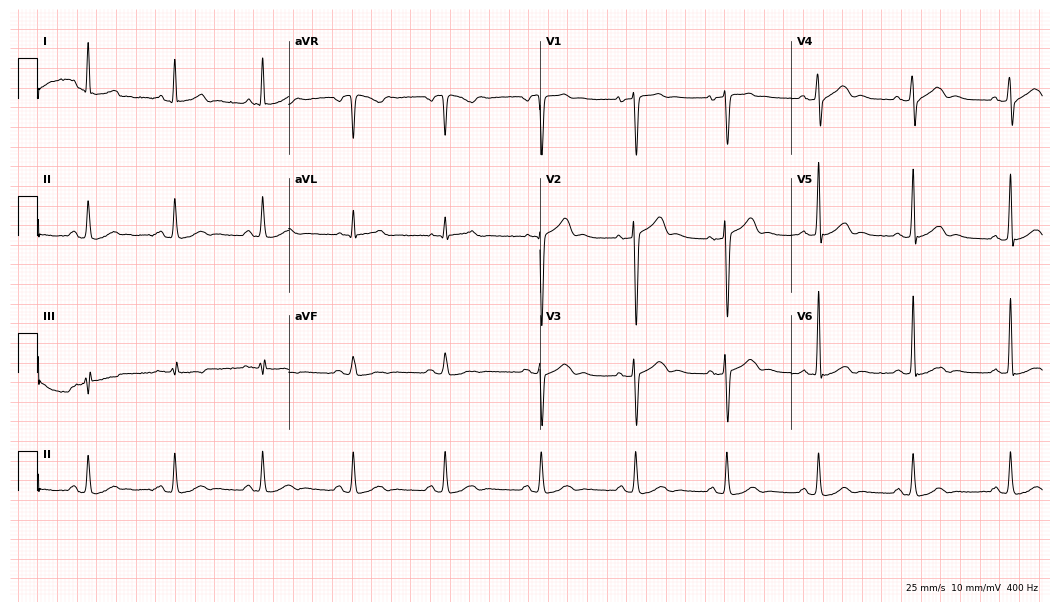
Standard 12-lead ECG recorded from a 47-year-old man (10.2-second recording at 400 Hz). None of these six findings is recorded: first-degree AV block, right bundle branch block (RBBB), left bundle branch block (LBBB), sinus bradycardia, atrial fibrillation (AF), sinus tachycardia. Findings outside these six are not listed.